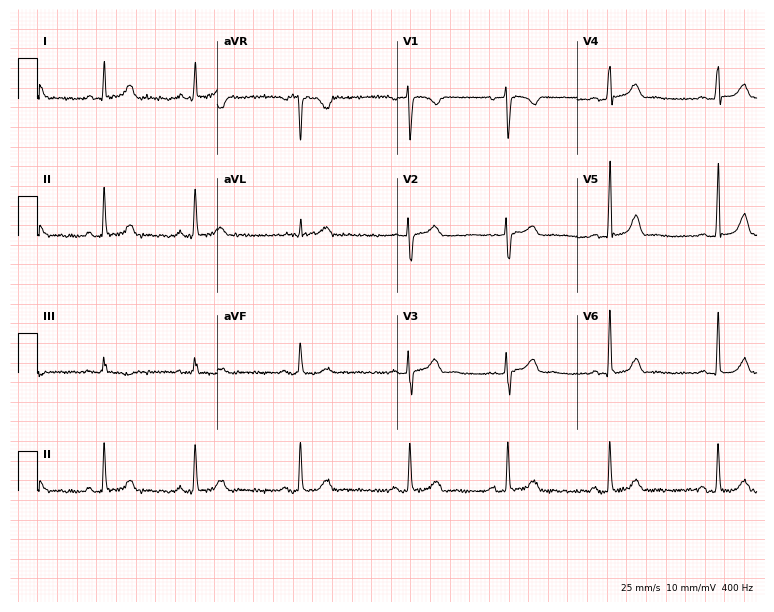
ECG (7.3-second recording at 400 Hz) — a 35-year-old female. Labelled as a normal ECG.